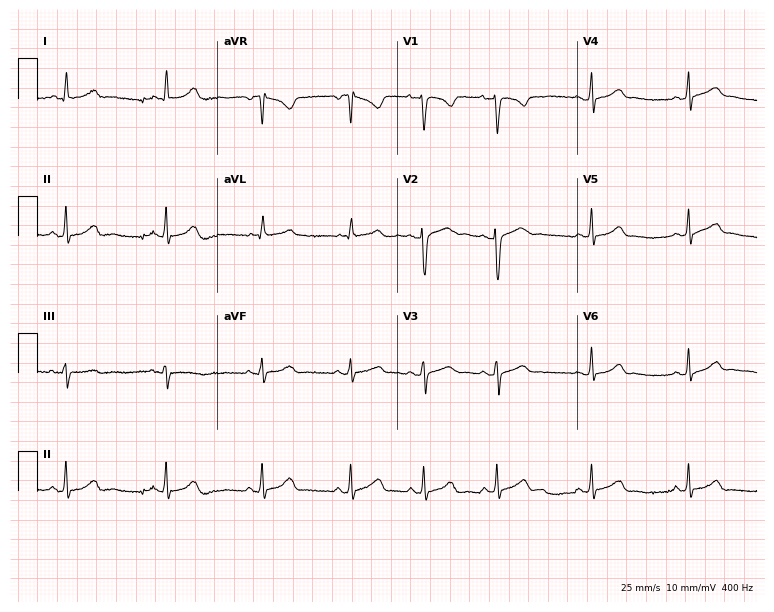
Electrocardiogram (7.3-second recording at 400 Hz), a 27-year-old woman. Of the six screened findings (first-degree AV block, right bundle branch block, left bundle branch block, sinus bradycardia, atrial fibrillation, sinus tachycardia), none is recorded.